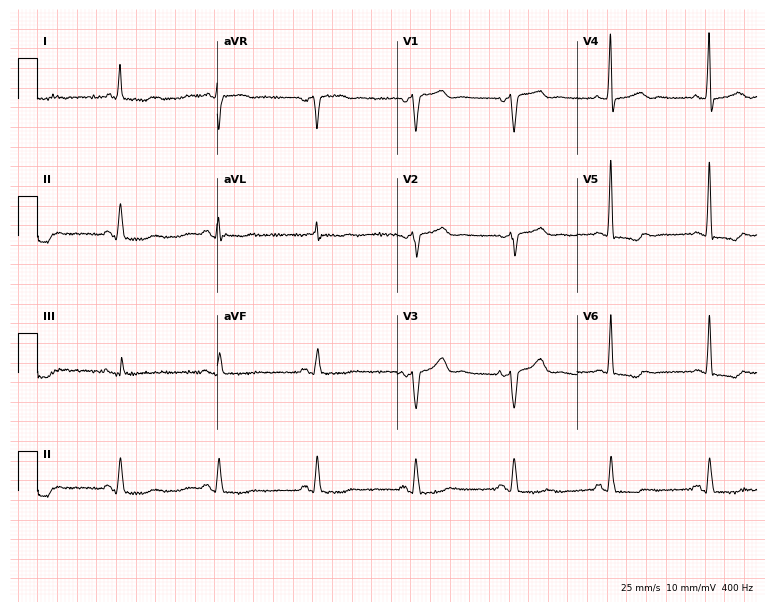
Resting 12-lead electrocardiogram. Patient: a female, 71 years old. None of these six findings is recorded: first-degree AV block, right bundle branch block (RBBB), left bundle branch block (LBBB), sinus bradycardia, atrial fibrillation (AF), sinus tachycardia. Only these six findings were labelled.